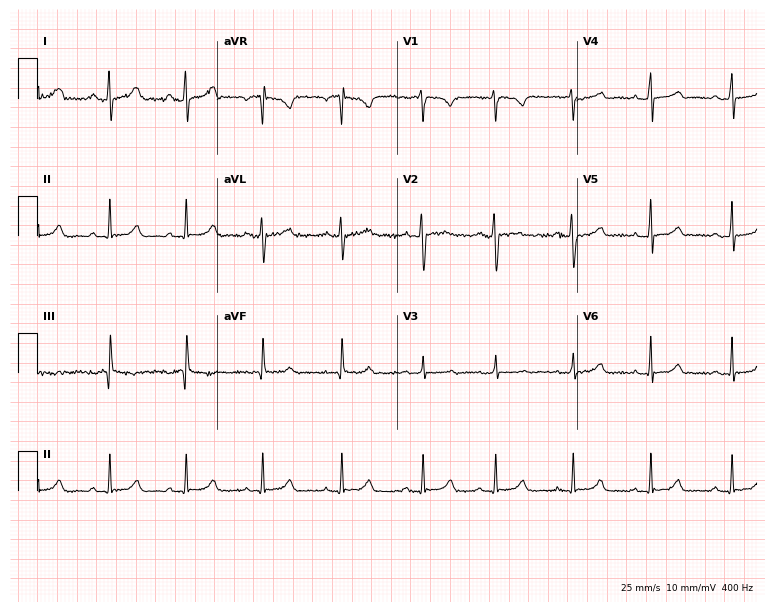
Standard 12-lead ECG recorded from a female, 18 years old. Read as a normal ECG.